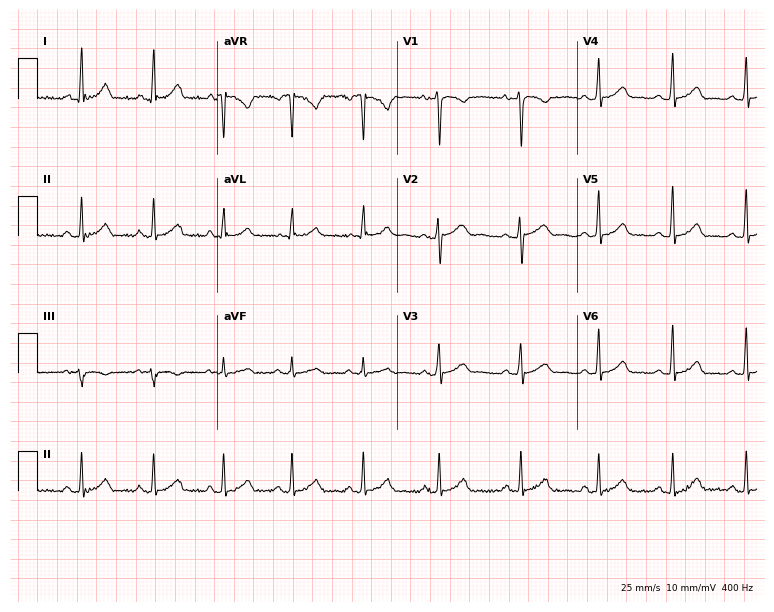
12-lead ECG from a female patient, 22 years old. No first-degree AV block, right bundle branch block, left bundle branch block, sinus bradycardia, atrial fibrillation or sinus tachycardia recorded for this tracing. Findings outside these six are not listed.